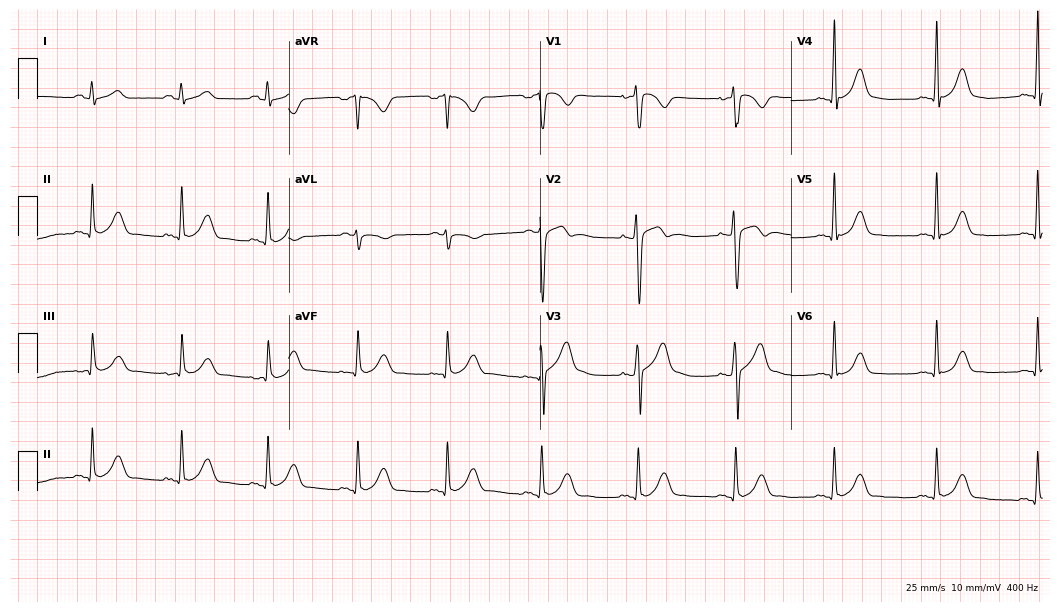
12-lead ECG from an 18-year-old male. Recorded interpretation: within normal limits.